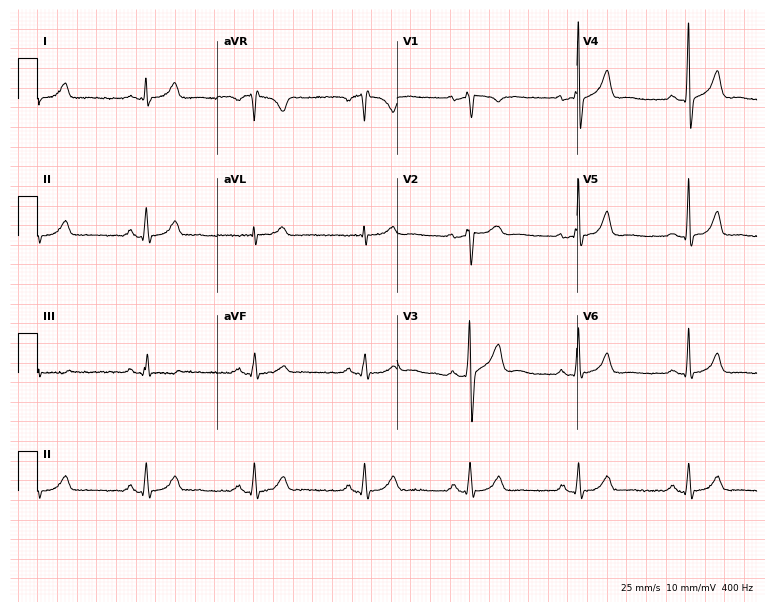
Resting 12-lead electrocardiogram. Patient: a 60-year-old male. Read as a normal ECG.